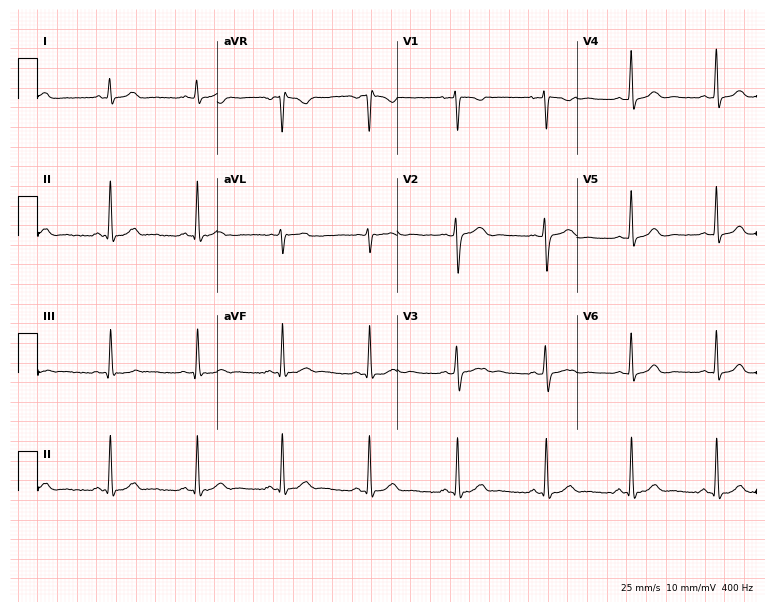
ECG (7.3-second recording at 400 Hz) — a woman, 26 years old. Screened for six findings — first-degree AV block, right bundle branch block, left bundle branch block, sinus bradycardia, atrial fibrillation, sinus tachycardia — none is recorded.